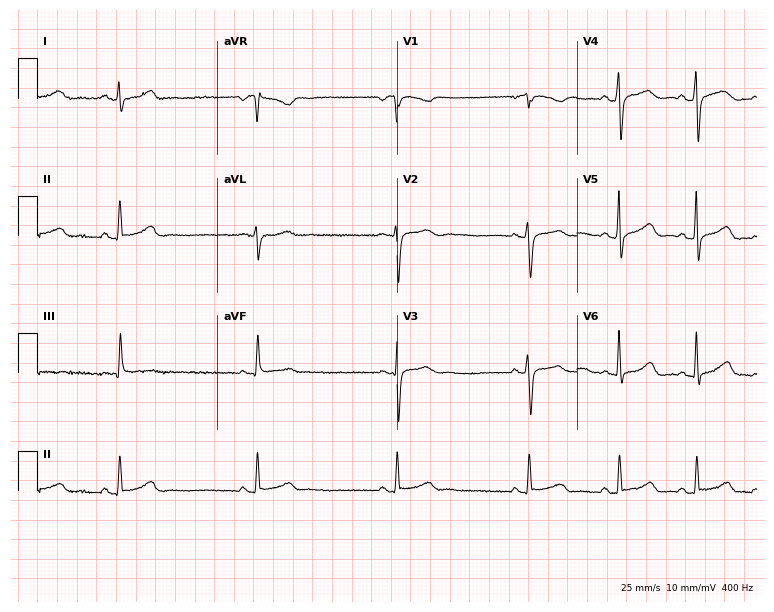
12-lead ECG from a female, 34 years old. No first-degree AV block, right bundle branch block, left bundle branch block, sinus bradycardia, atrial fibrillation or sinus tachycardia recorded for this tracing. Other findings, if any, are not listed.